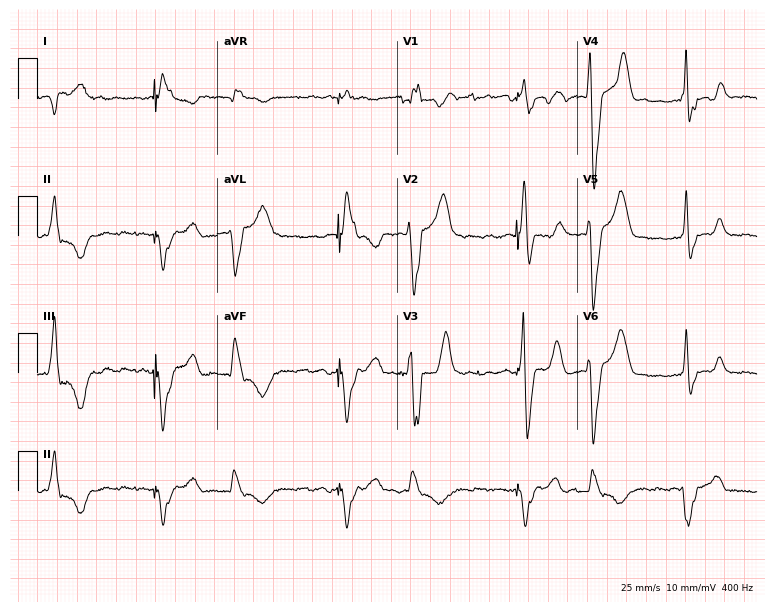
ECG — a male, 78 years old. Screened for six findings — first-degree AV block, right bundle branch block, left bundle branch block, sinus bradycardia, atrial fibrillation, sinus tachycardia — none is recorded.